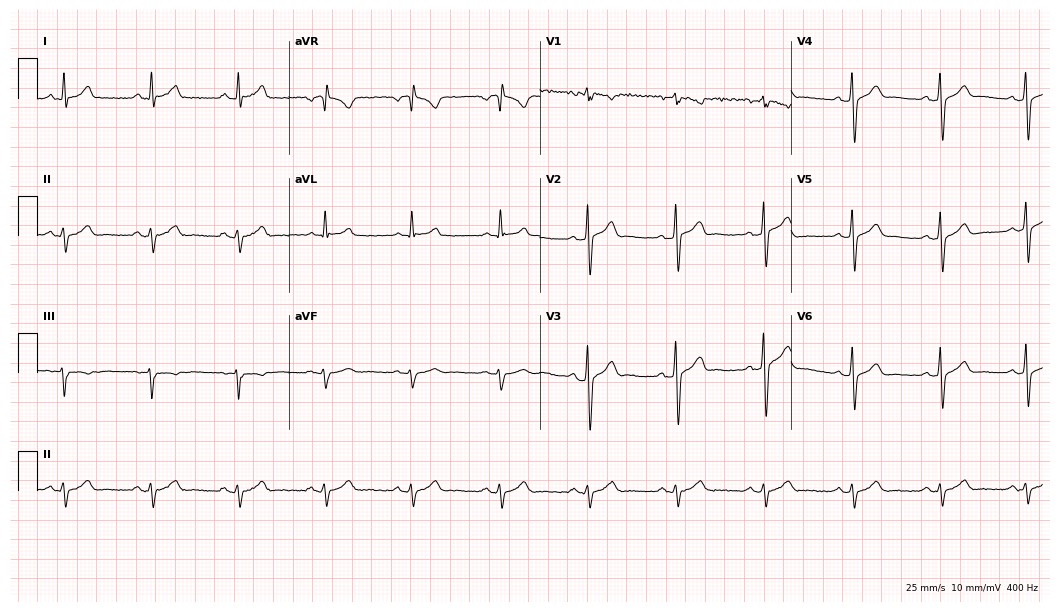
12-lead ECG (10.2-second recording at 400 Hz) from a 43-year-old male. Screened for six findings — first-degree AV block, right bundle branch block, left bundle branch block, sinus bradycardia, atrial fibrillation, sinus tachycardia — none is recorded.